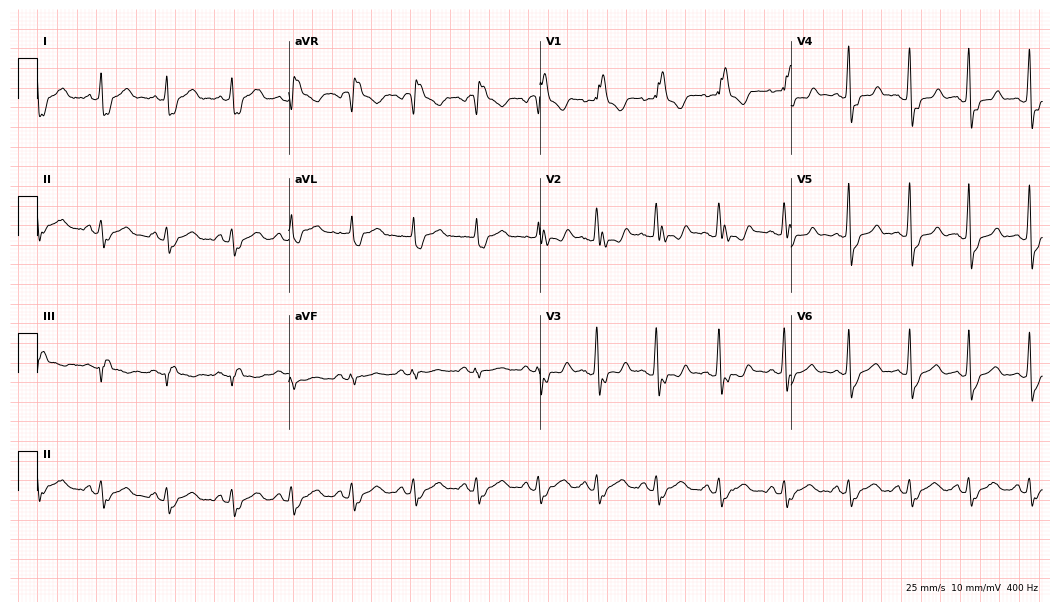
Resting 12-lead electrocardiogram (10.2-second recording at 400 Hz). Patient: a 41-year-old woman. The tracing shows right bundle branch block.